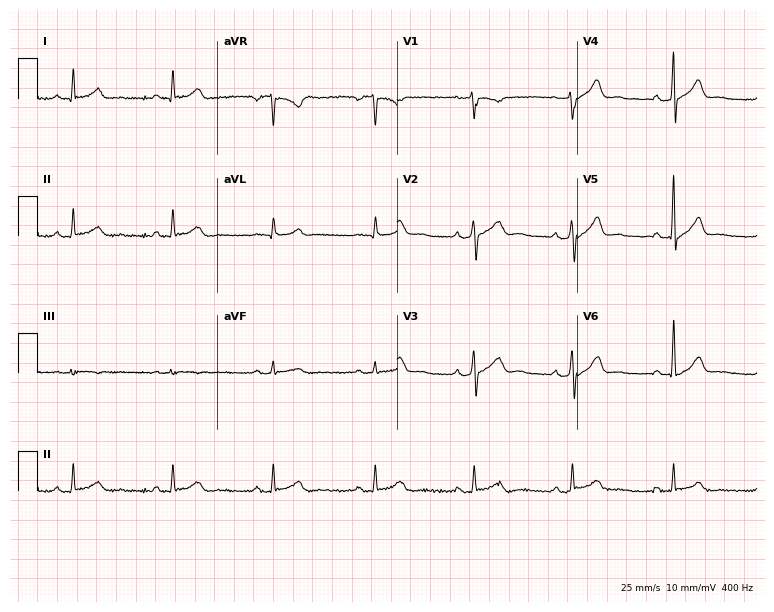
Electrocardiogram, a male patient, 53 years old. Of the six screened findings (first-degree AV block, right bundle branch block, left bundle branch block, sinus bradycardia, atrial fibrillation, sinus tachycardia), none is recorded.